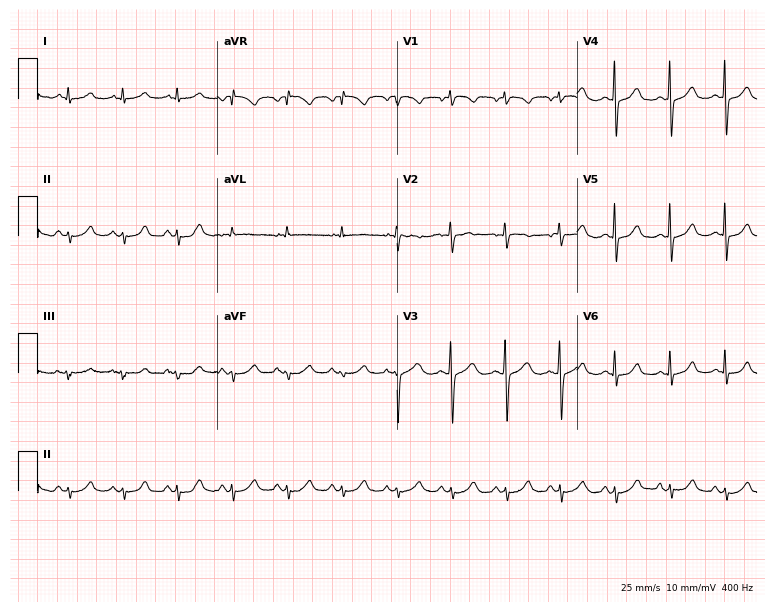
ECG — a 48-year-old woman. Findings include sinus tachycardia (a sinus rate of 100 beats per minute or more).